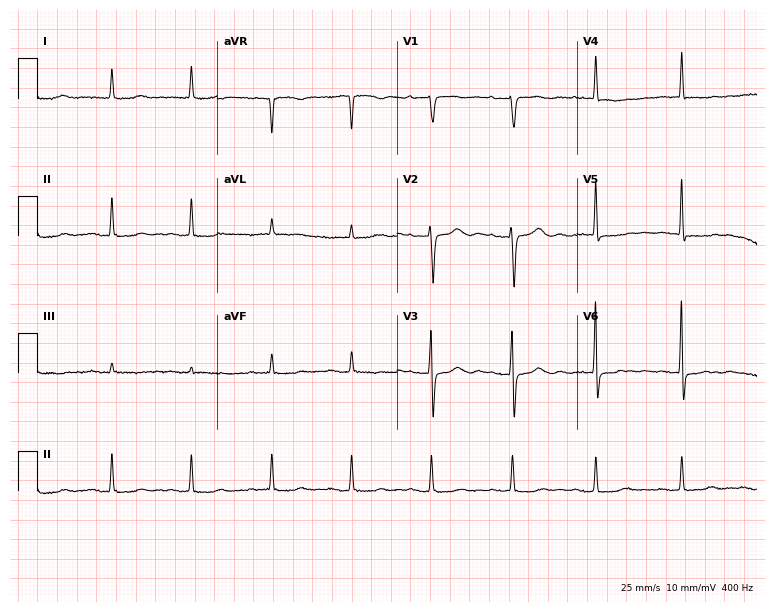
ECG (7.3-second recording at 400 Hz) — a woman, 76 years old. Findings include first-degree AV block.